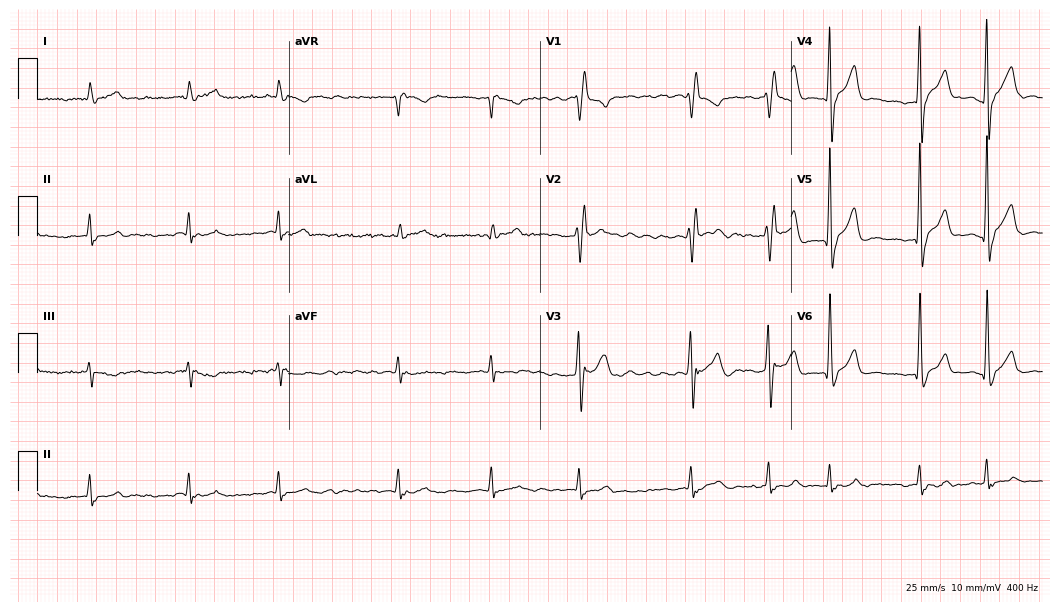
Standard 12-lead ECG recorded from a man, 70 years old. The tracing shows right bundle branch block, atrial fibrillation.